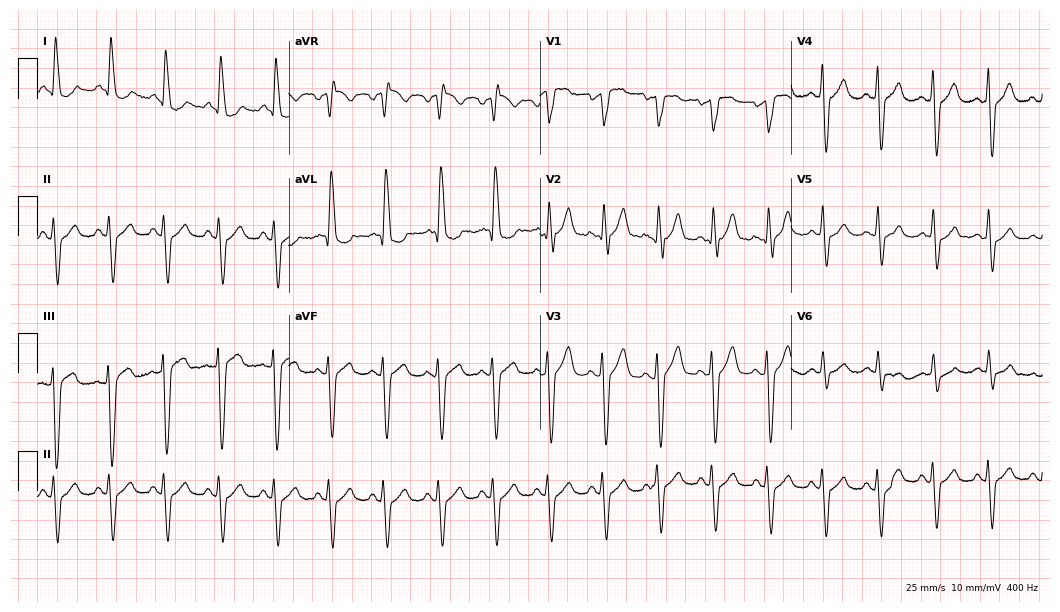
Resting 12-lead electrocardiogram. Patient: a male, 77 years old. The tracing shows sinus tachycardia (a sinus rate of 100 beats per minute or more).